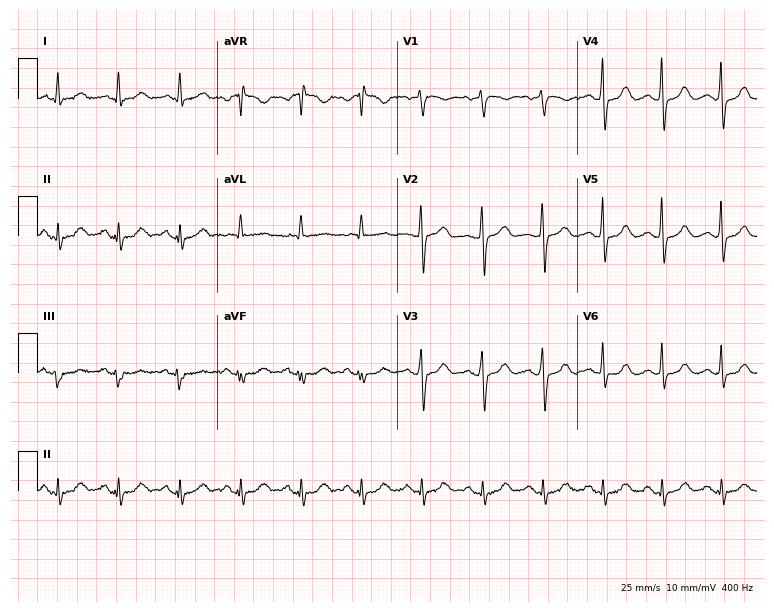
Electrocardiogram (7.3-second recording at 400 Hz), a female patient, 63 years old. Of the six screened findings (first-degree AV block, right bundle branch block, left bundle branch block, sinus bradycardia, atrial fibrillation, sinus tachycardia), none is recorded.